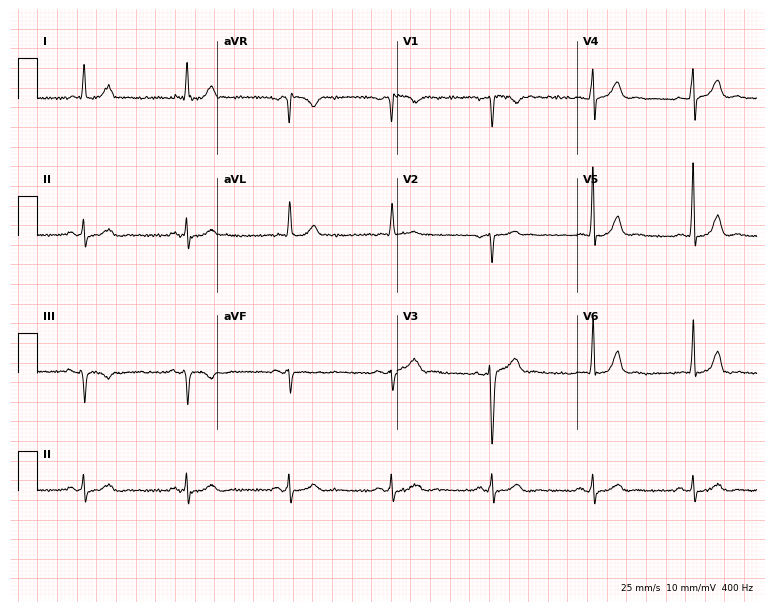
ECG (7.3-second recording at 400 Hz) — a 54-year-old male. Labelled as a normal ECG.